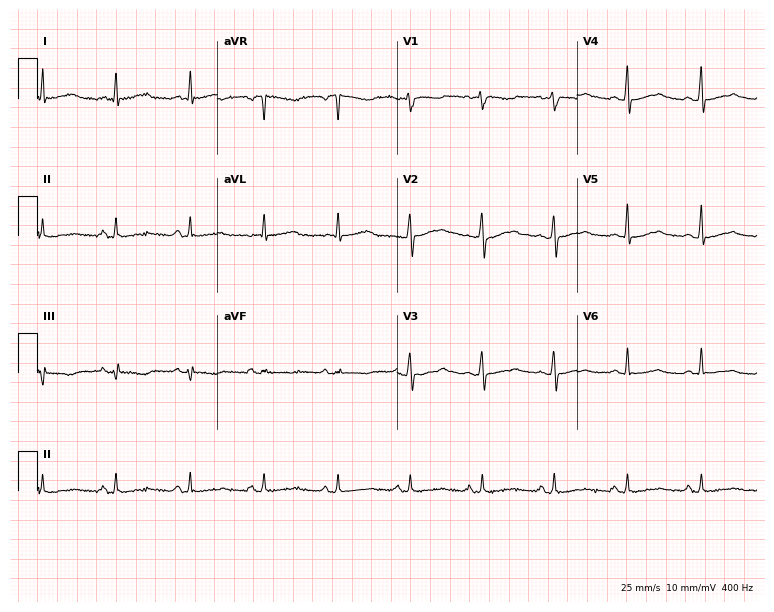
Standard 12-lead ECG recorded from a 46-year-old female. None of these six findings is recorded: first-degree AV block, right bundle branch block (RBBB), left bundle branch block (LBBB), sinus bradycardia, atrial fibrillation (AF), sinus tachycardia.